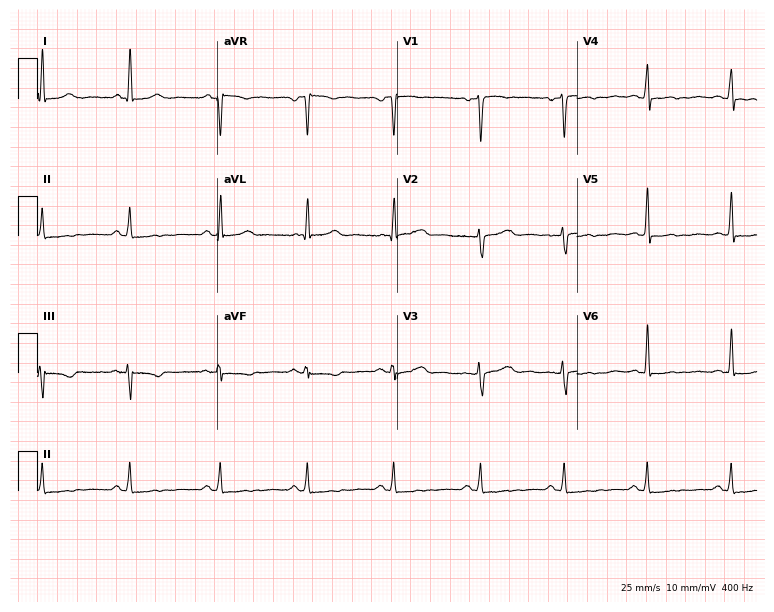
Resting 12-lead electrocardiogram. Patient: a 41-year-old female. None of these six findings is recorded: first-degree AV block, right bundle branch block, left bundle branch block, sinus bradycardia, atrial fibrillation, sinus tachycardia. Only these six findings were labelled.